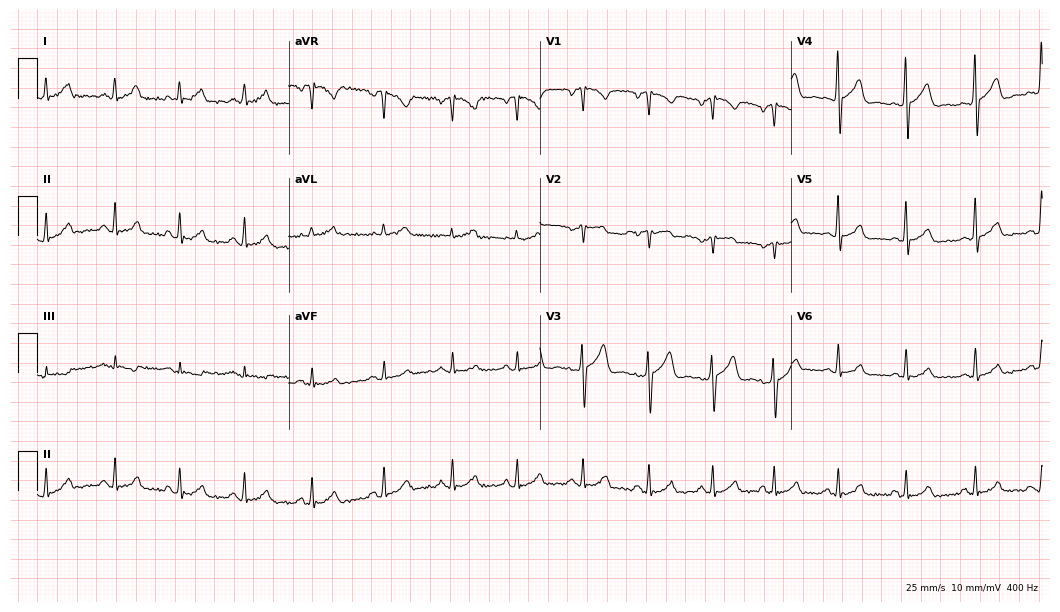
Electrocardiogram, a 56-year-old male patient. Overall reading on record: normal ECG.